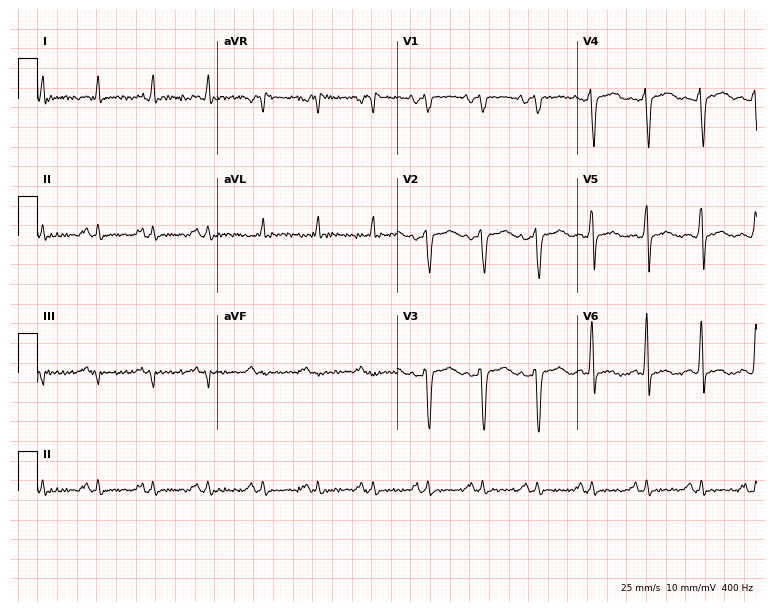
ECG (7.3-second recording at 400 Hz) — a 38-year-old male. Screened for six findings — first-degree AV block, right bundle branch block, left bundle branch block, sinus bradycardia, atrial fibrillation, sinus tachycardia — none is recorded.